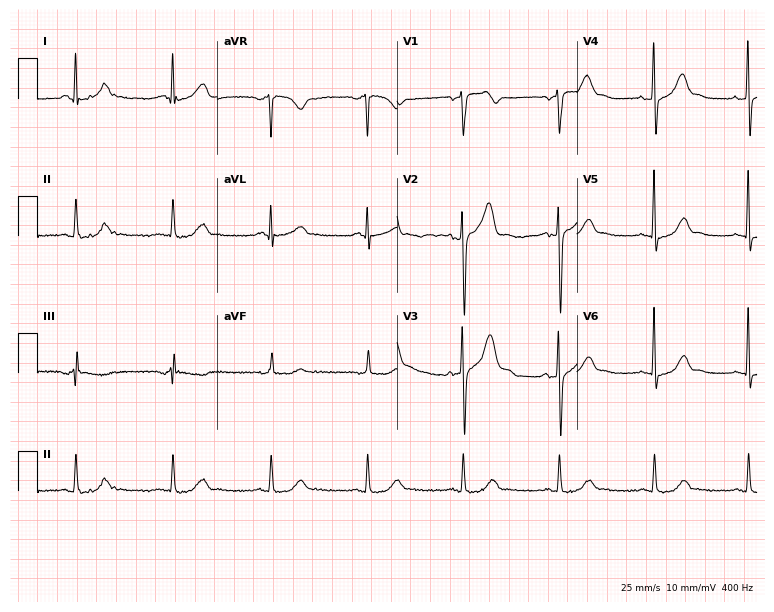
Resting 12-lead electrocardiogram (7.3-second recording at 400 Hz). Patient: a 44-year-old man. Read as a normal ECG.